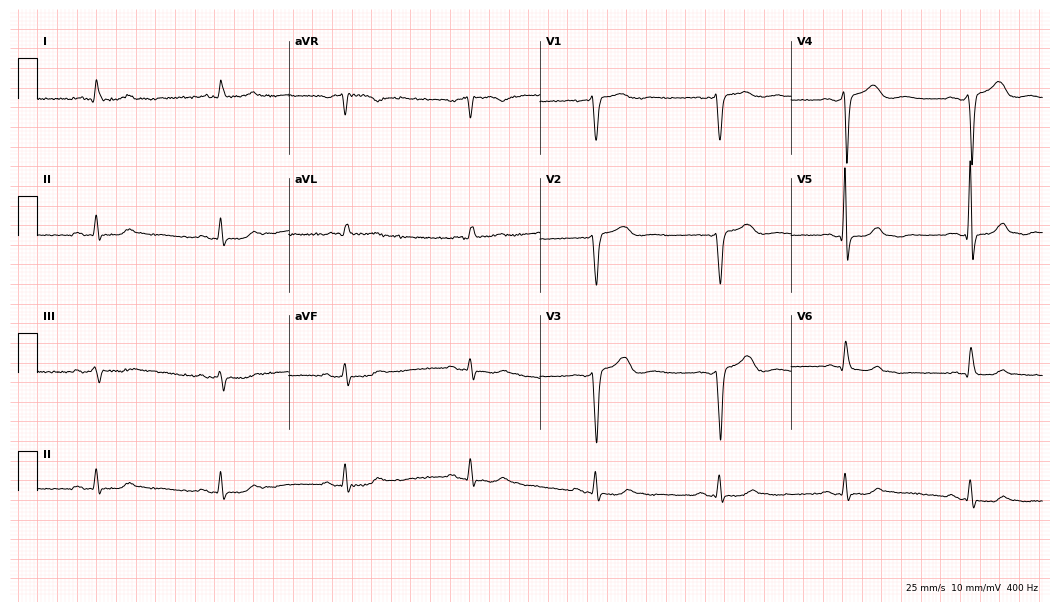
ECG (10.2-second recording at 400 Hz) — an 80-year-old male. Screened for six findings — first-degree AV block, right bundle branch block, left bundle branch block, sinus bradycardia, atrial fibrillation, sinus tachycardia — none is recorded. Only these six findings were labelled.